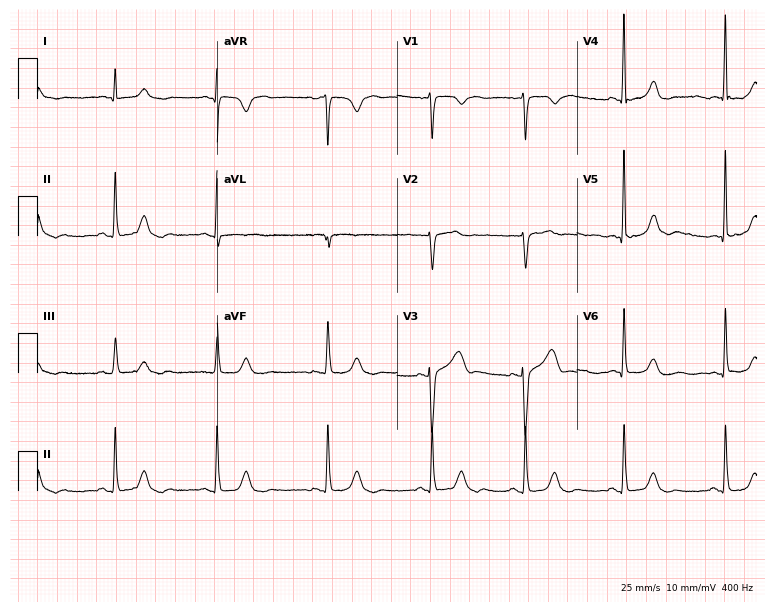
Electrocardiogram (7.3-second recording at 400 Hz), a 44-year-old female patient. Of the six screened findings (first-degree AV block, right bundle branch block, left bundle branch block, sinus bradycardia, atrial fibrillation, sinus tachycardia), none is recorded.